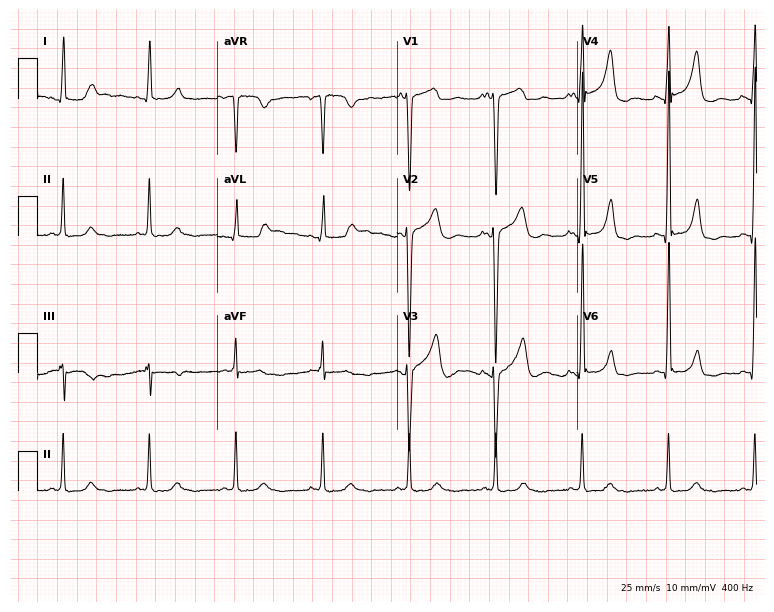
12-lead ECG from a man, 48 years old. Screened for six findings — first-degree AV block, right bundle branch block, left bundle branch block, sinus bradycardia, atrial fibrillation, sinus tachycardia — none is recorded. Only these six findings were labelled.